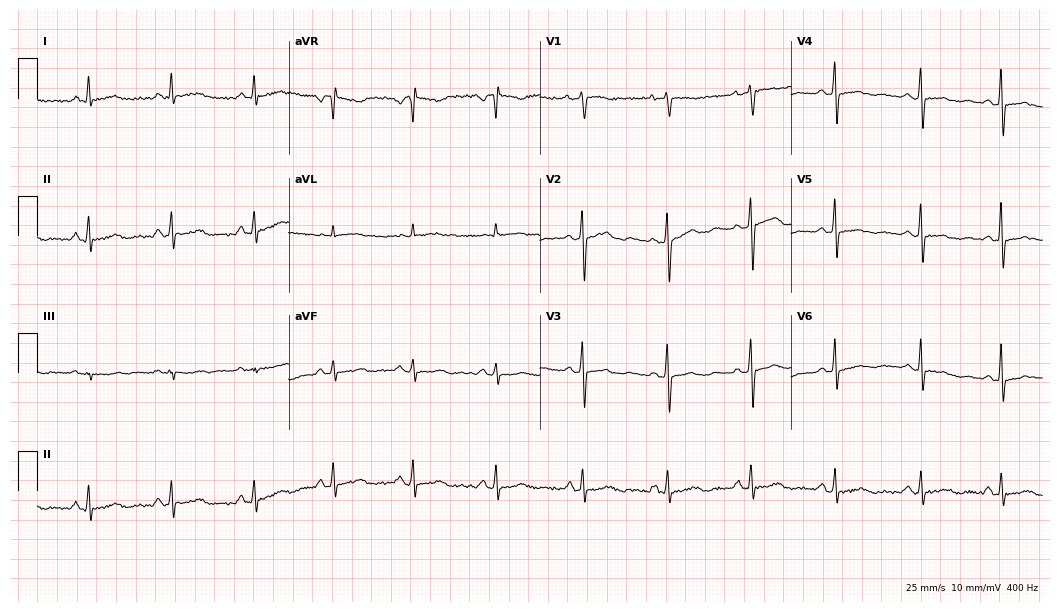
Standard 12-lead ECG recorded from a 50-year-old female patient. None of these six findings is recorded: first-degree AV block, right bundle branch block, left bundle branch block, sinus bradycardia, atrial fibrillation, sinus tachycardia.